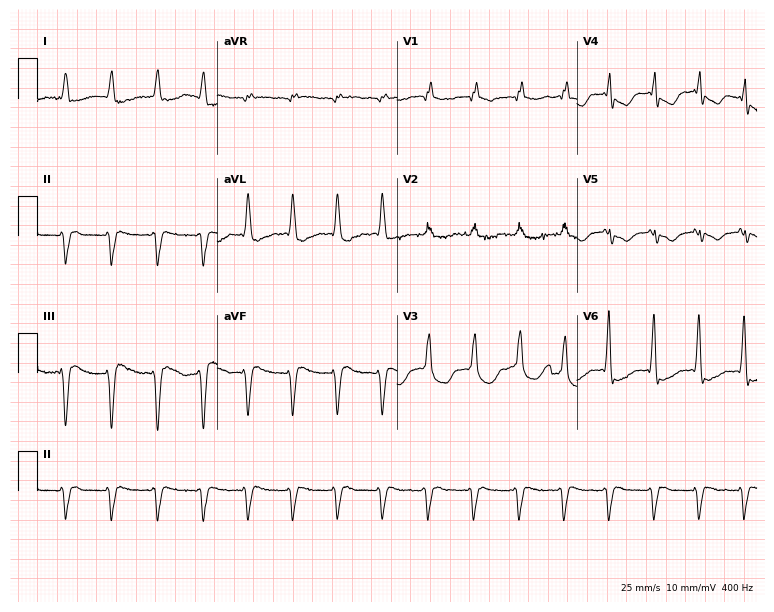
Electrocardiogram, a female, 85 years old. Of the six screened findings (first-degree AV block, right bundle branch block (RBBB), left bundle branch block (LBBB), sinus bradycardia, atrial fibrillation (AF), sinus tachycardia), none is recorded. Only these six findings were labelled.